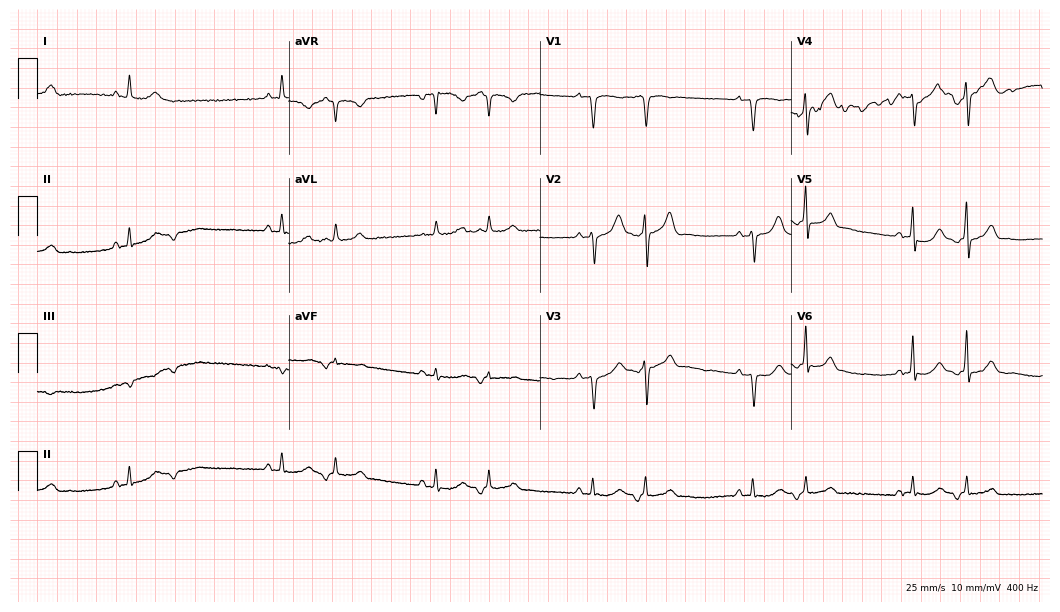
ECG (10.2-second recording at 400 Hz) — an 81-year-old man. Screened for six findings — first-degree AV block, right bundle branch block (RBBB), left bundle branch block (LBBB), sinus bradycardia, atrial fibrillation (AF), sinus tachycardia — none is recorded.